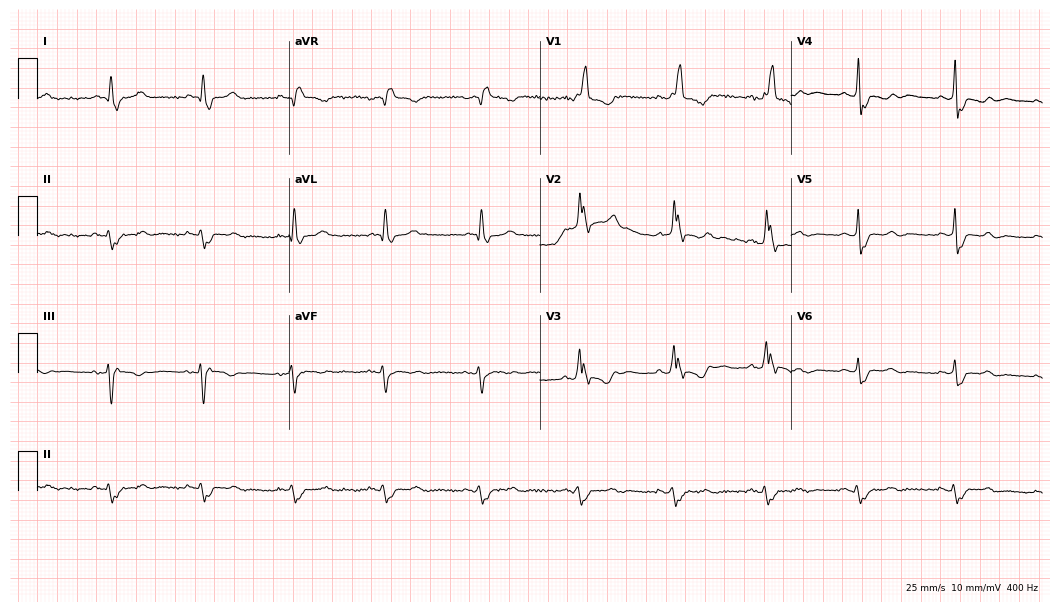
Standard 12-lead ECG recorded from a female, 83 years old. The tracing shows right bundle branch block.